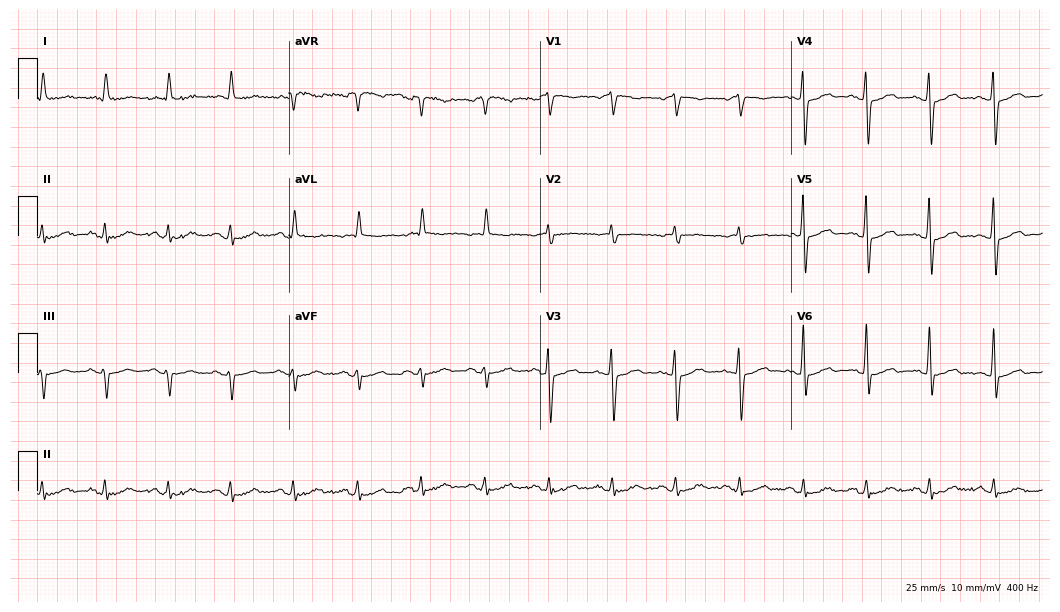
Standard 12-lead ECG recorded from a female patient, 68 years old. None of these six findings is recorded: first-degree AV block, right bundle branch block, left bundle branch block, sinus bradycardia, atrial fibrillation, sinus tachycardia.